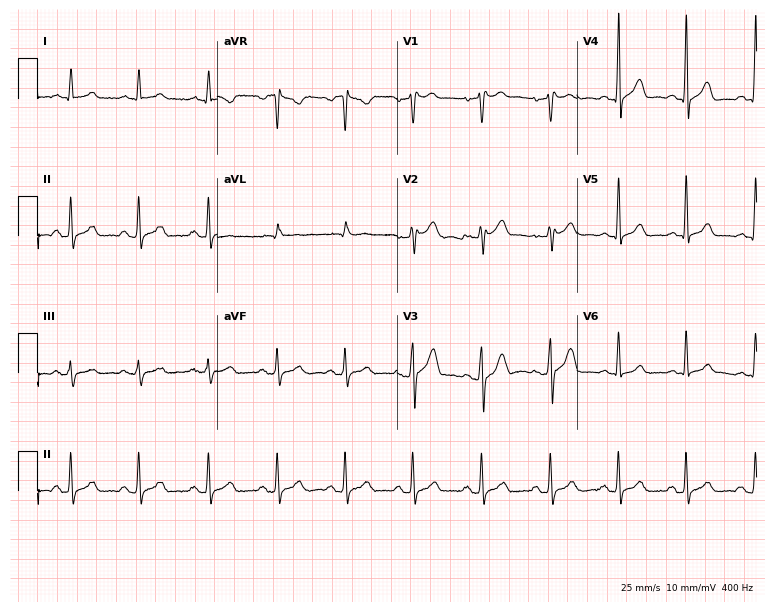
12-lead ECG from a 51-year-old male. Labelled as a normal ECG.